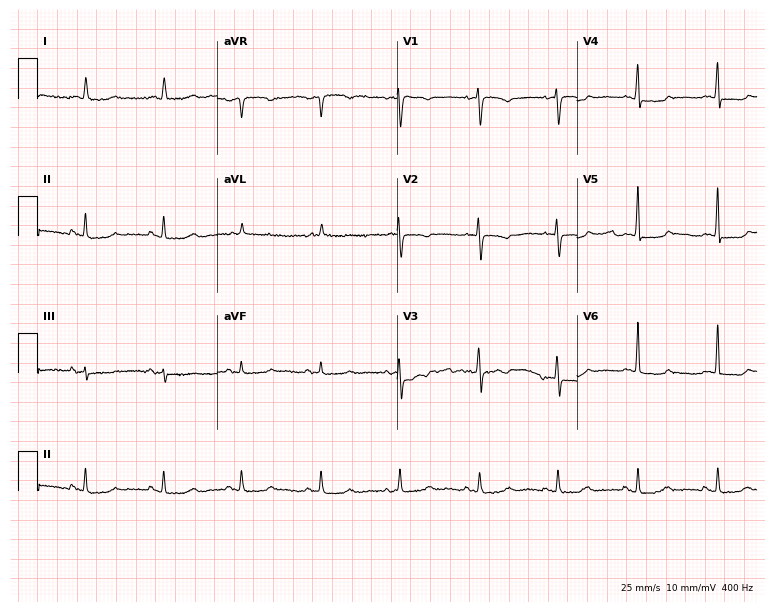
12-lead ECG from a 65-year-old female patient. No first-degree AV block, right bundle branch block (RBBB), left bundle branch block (LBBB), sinus bradycardia, atrial fibrillation (AF) or sinus tachycardia recorded for this tracing. Only these six findings were labelled.